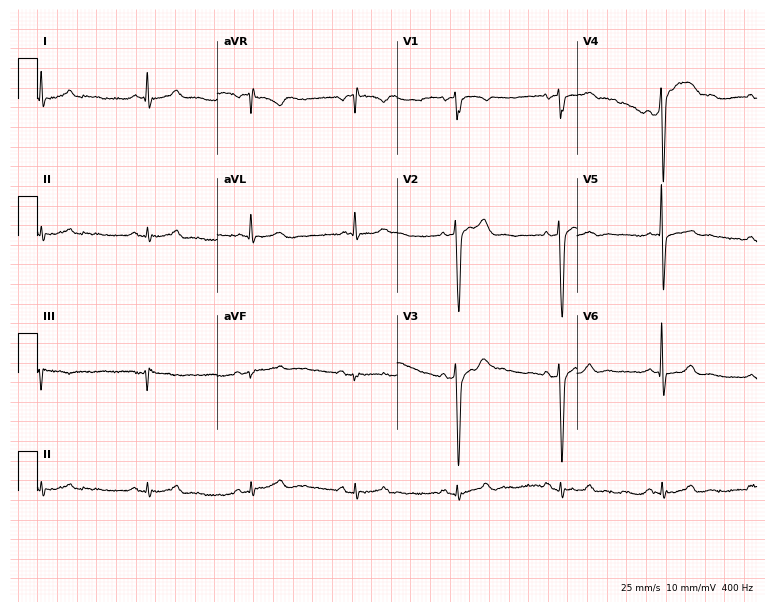
Resting 12-lead electrocardiogram. Patient: a 74-year-old male. None of these six findings is recorded: first-degree AV block, right bundle branch block, left bundle branch block, sinus bradycardia, atrial fibrillation, sinus tachycardia. Findings outside these six are not listed.